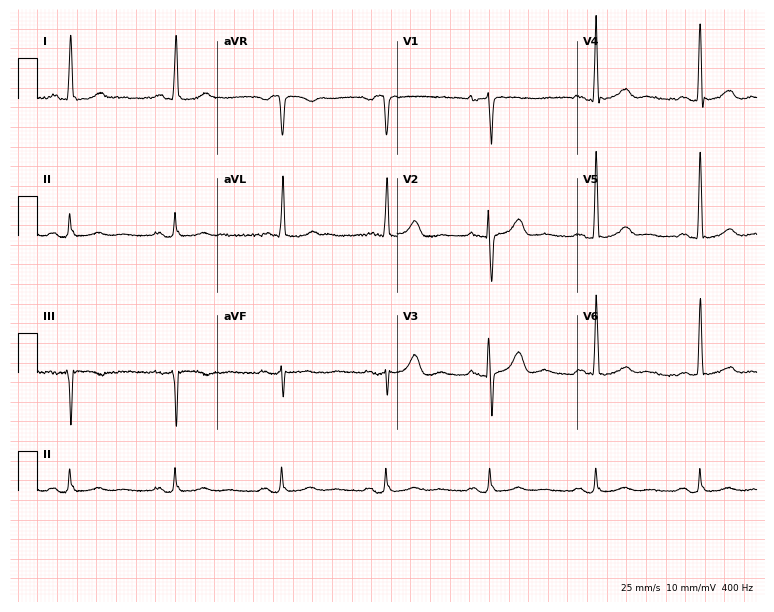
Standard 12-lead ECG recorded from a female, 72 years old (7.3-second recording at 400 Hz). Read as a normal ECG.